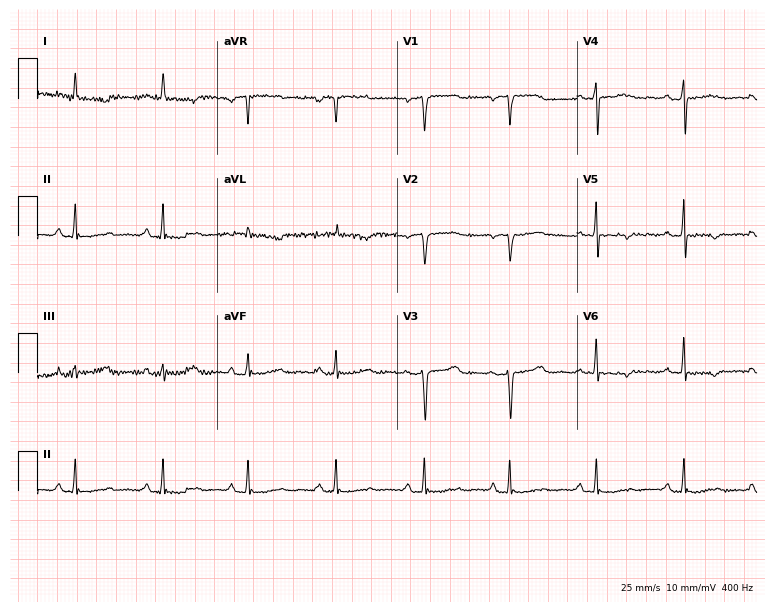
ECG (7.3-second recording at 400 Hz) — a 63-year-old female patient. Screened for six findings — first-degree AV block, right bundle branch block, left bundle branch block, sinus bradycardia, atrial fibrillation, sinus tachycardia — none is recorded.